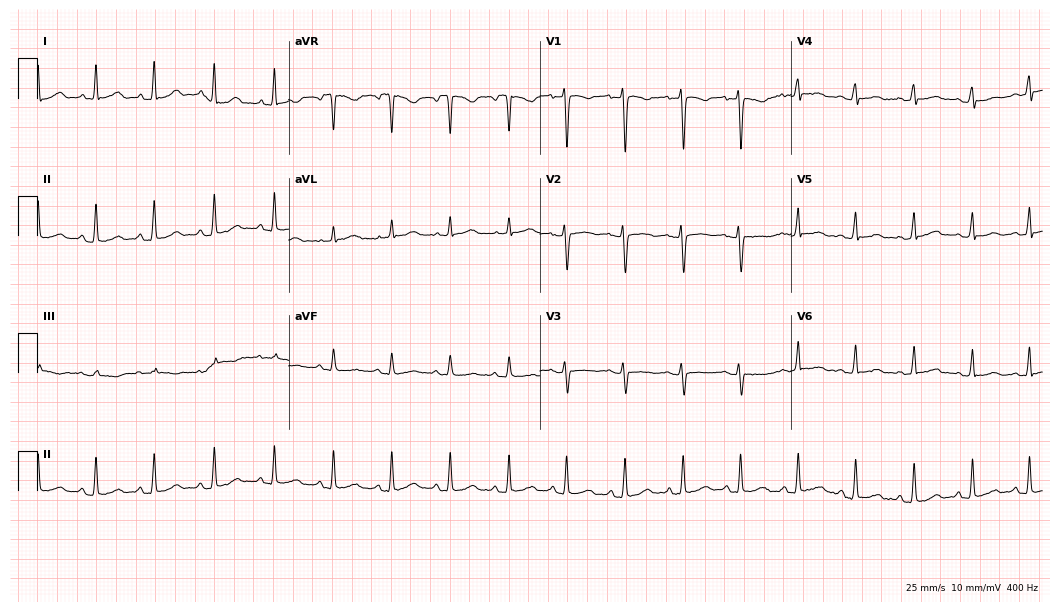
ECG (10.2-second recording at 400 Hz) — a female, 19 years old. Findings include sinus tachycardia (a sinus rate of 100 beats per minute or more).